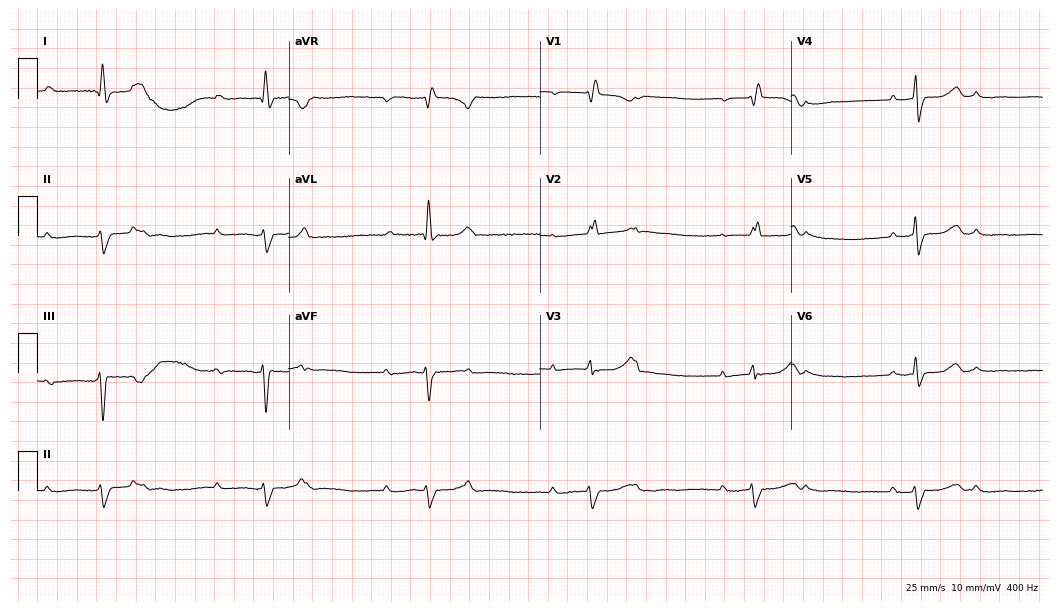
Electrocardiogram, a 74-year-old female. Interpretation includes first-degree AV block.